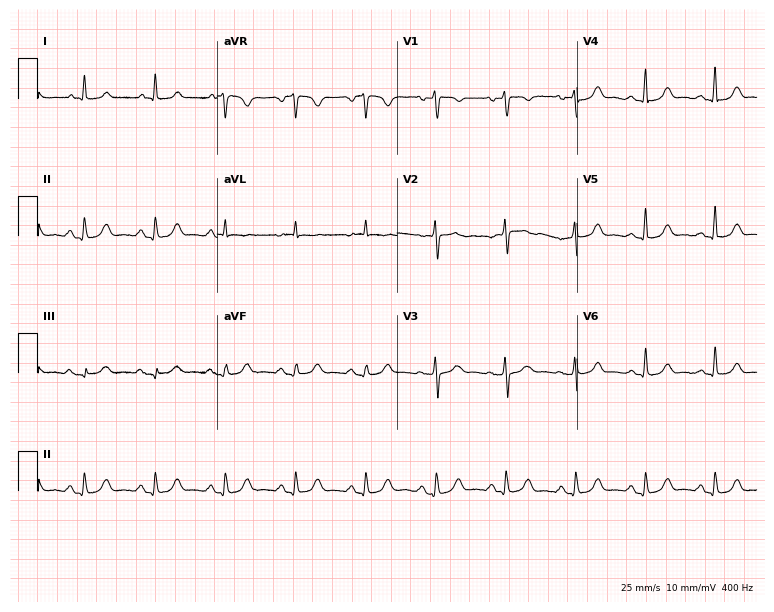
ECG — a 51-year-old woman. Labelled as a normal ECG.